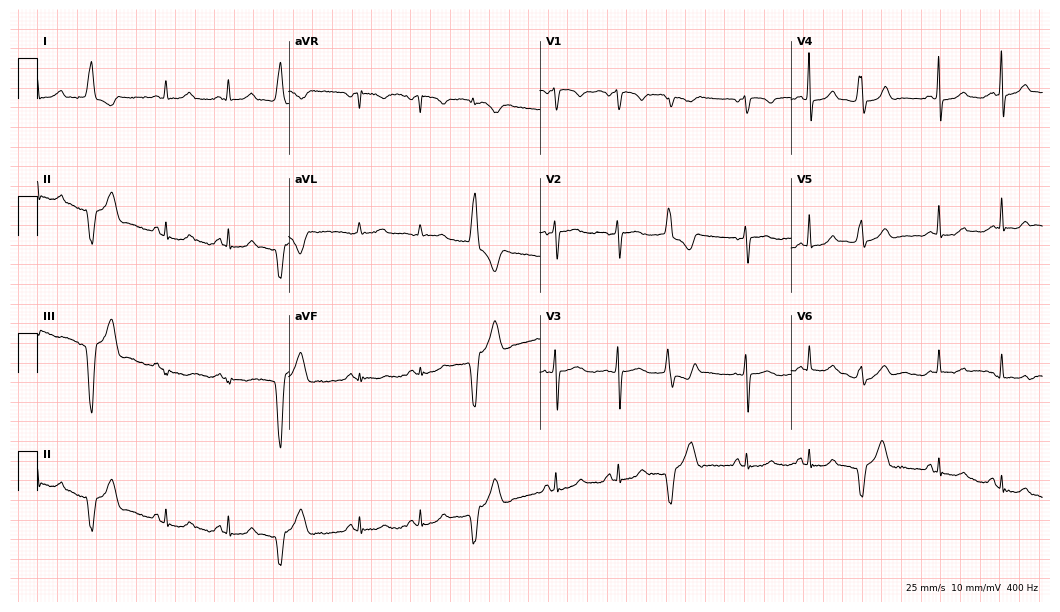
ECG — a female, 54 years old. Screened for six findings — first-degree AV block, right bundle branch block (RBBB), left bundle branch block (LBBB), sinus bradycardia, atrial fibrillation (AF), sinus tachycardia — none is recorded.